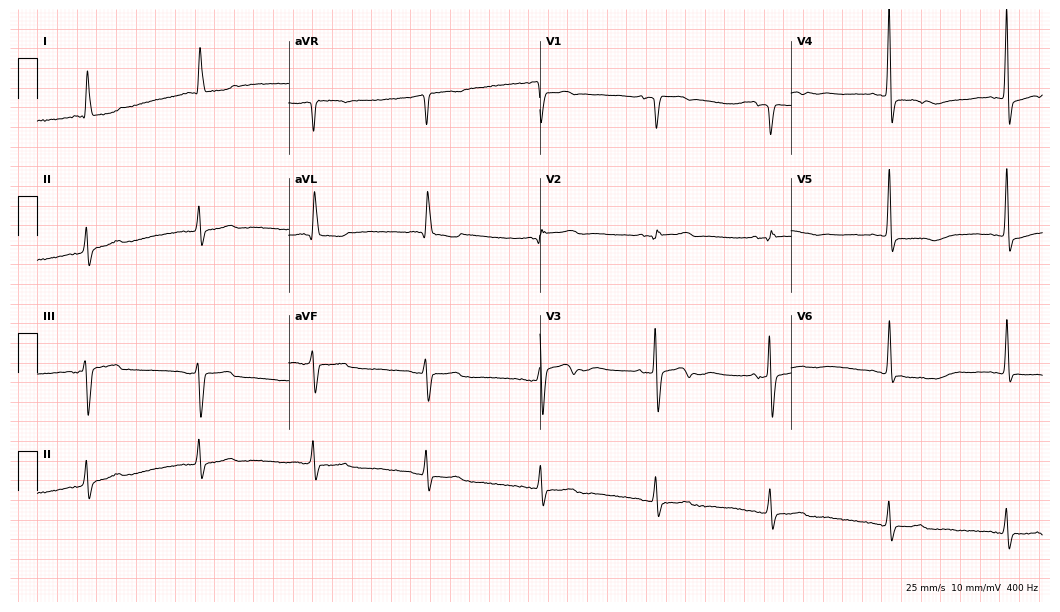
Resting 12-lead electrocardiogram (10.2-second recording at 400 Hz). Patient: an 83-year-old female. None of these six findings is recorded: first-degree AV block, right bundle branch block, left bundle branch block, sinus bradycardia, atrial fibrillation, sinus tachycardia.